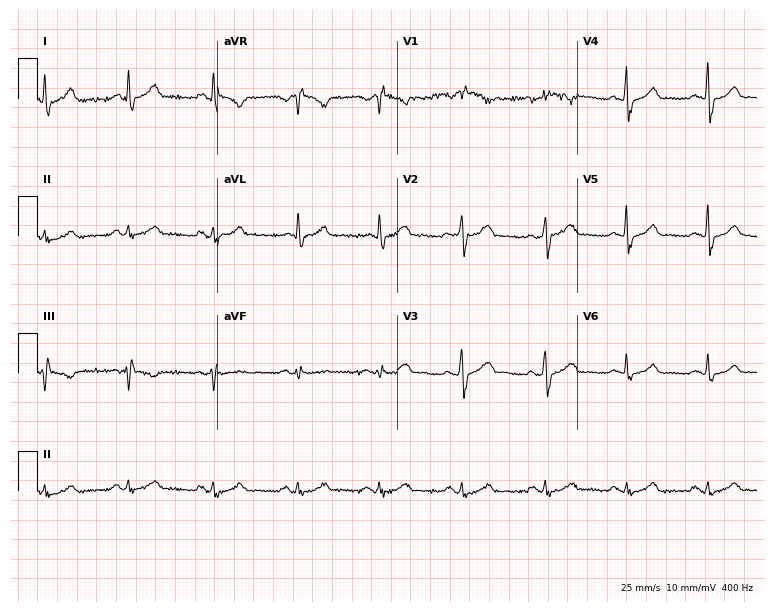
Electrocardiogram, a man, 48 years old. Of the six screened findings (first-degree AV block, right bundle branch block, left bundle branch block, sinus bradycardia, atrial fibrillation, sinus tachycardia), none is recorded. Only these six findings were labelled.